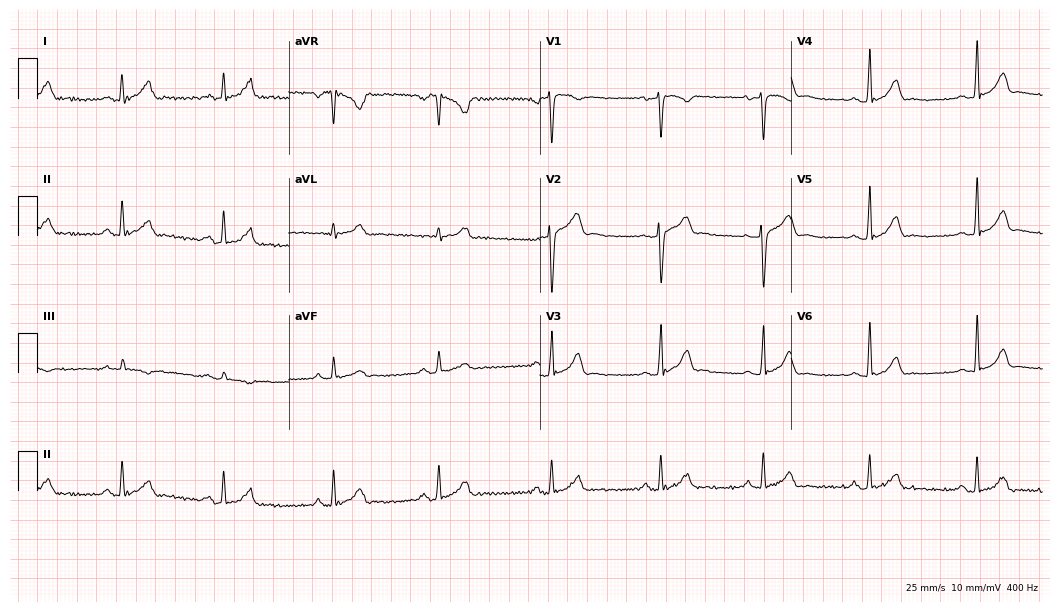
Standard 12-lead ECG recorded from a 28-year-old man (10.2-second recording at 400 Hz). None of these six findings is recorded: first-degree AV block, right bundle branch block, left bundle branch block, sinus bradycardia, atrial fibrillation, sinus tachycardia.